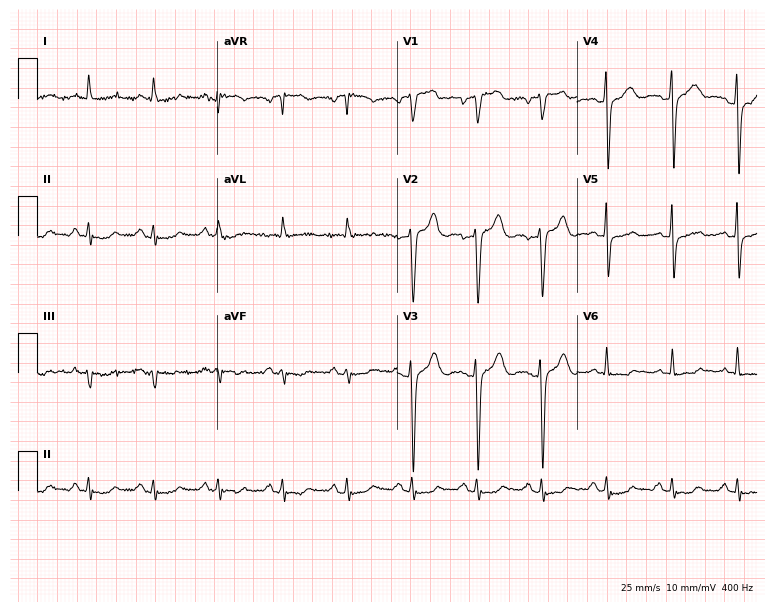
12-lead ECG from a 46-year-old woman (7.3-second recording at 400 Hz). No first-degree AV block, right bundle branch block (RBBB), left bundle branch block (LBBB), sinus bradycardia, atrial fibrillation (AF) or sinus tachycardia recorded for this tracing. Only these six findings were labelled.